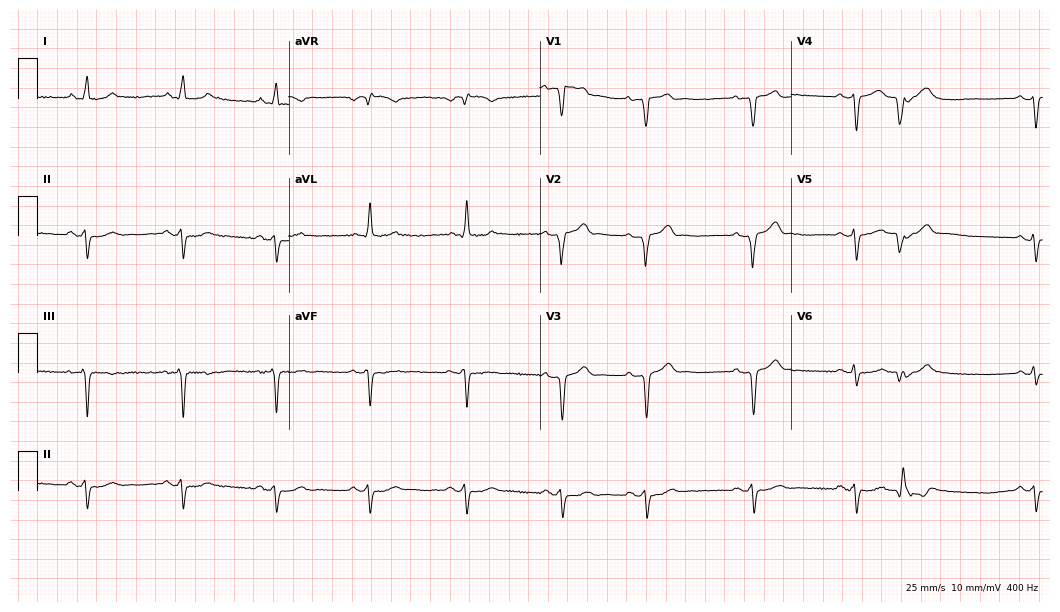
Standard 12-lead ECG recorded from a male, 61 years old. None of these six findings is recorded: first-degree AV block, right bundle branch block, left bundle branch block, sinus bradycardia, atrial fibrillation, sinus tachycardia. Only these six findings were labelled.